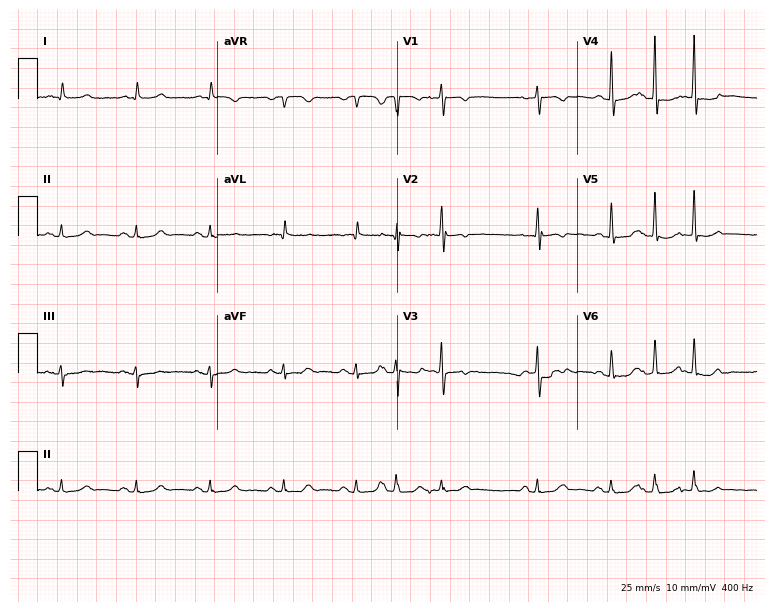
12-lead ECG from a female, 85 years old. No first-degree AV block, right bundle branch block, left bundle branch block, sinus bradycardia, atrial fibrillation or sinus tachycardia recorded for this tracing. Findings outside these six are not listed.